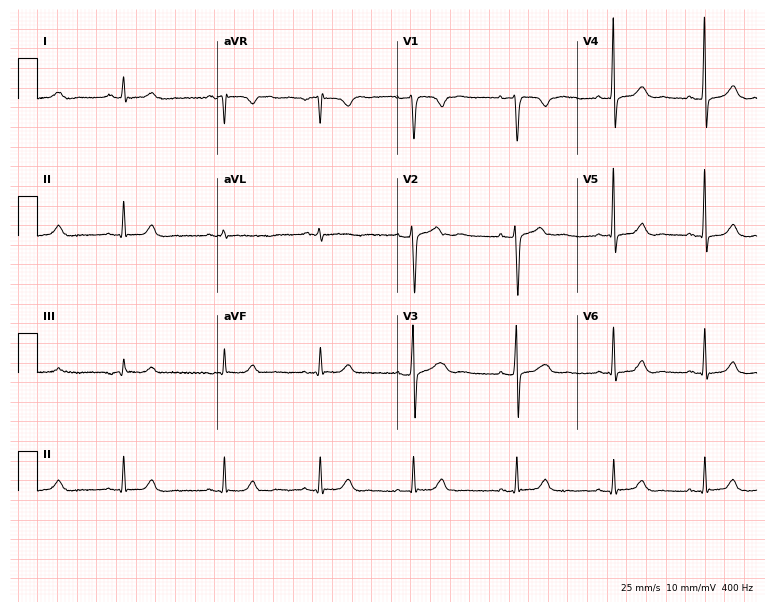
12-lead ECG from a woman, 55 years old. Screened for six findings — first-degree AV block, right bundle branch block, left bundle branch block, sinus bradycardia, atrial fibrillation, sinus tachycardia — none is recorded.